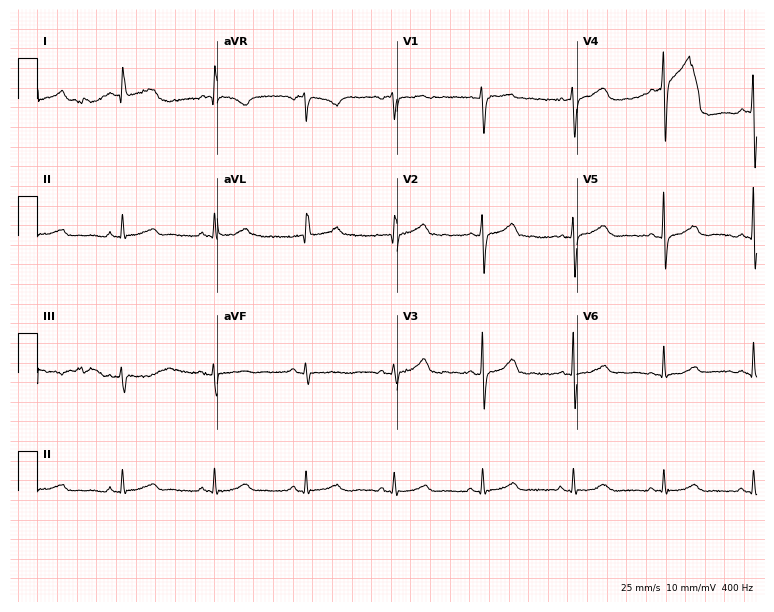
Resting 12-lead electrocardiogram. Patient: a 56-year-old woman. Read as a normal ECG.